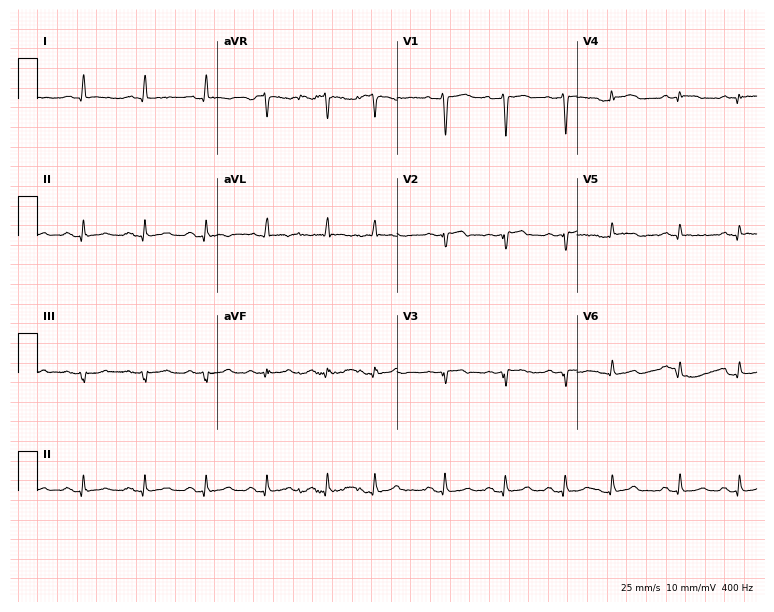
Electrocardiogram (7.3-second recording at 400 Hz), an 80-year-old man. Of the six screened findings (first-degree AV block, right bundle branch block (RBBB), left bundle branch block (LBBB), sinus bradycardia, atrial fibrillation (AF), sinus tachycardia), none is recorded.